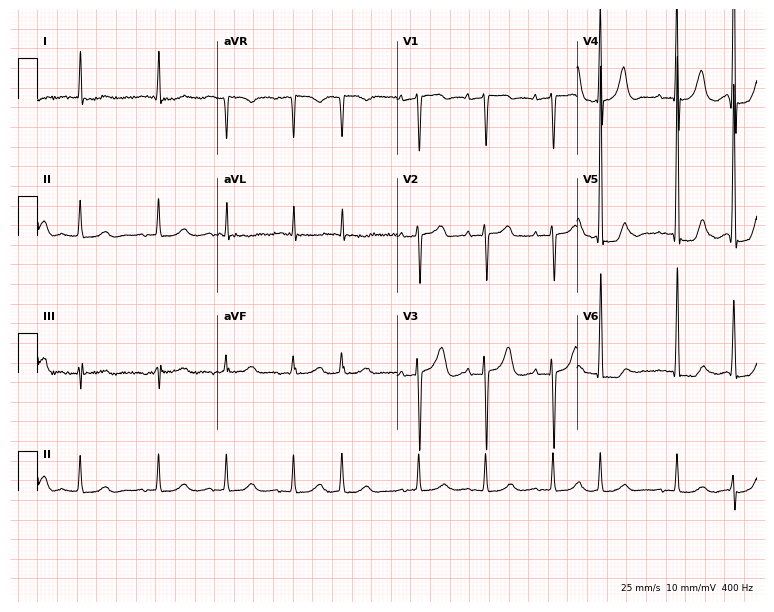
Resting 12-lead electrocardiogram (7.3-second recording at 400 Hz). Patient: a 79-year-old male. None of these six findings is recorded: first-degree AV block, right bundle branch block (RBBB), left bundle branch block (LBBB), sinus bradycardia, atrial fibrillation (AF), sinus tachycardia.